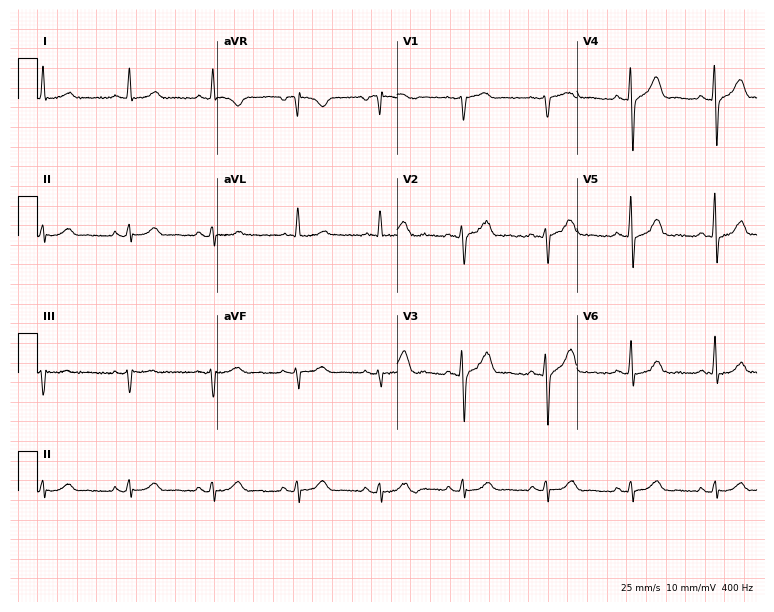
12-lead ECG from a 73-year-old male patient. Labelled as a normal ECG.